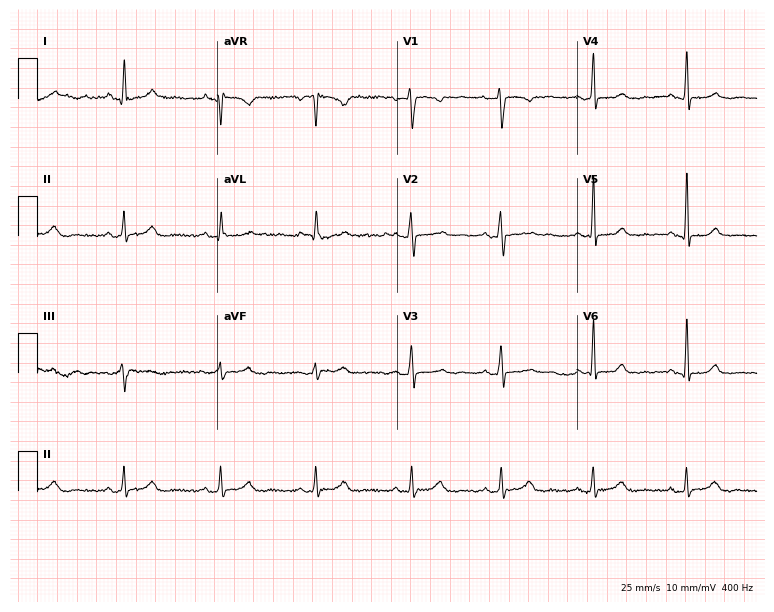
Electrocardiogram (7.3-second recording at 400 Hz), a female, 50 years old. Overall reading on record: normal ECG.